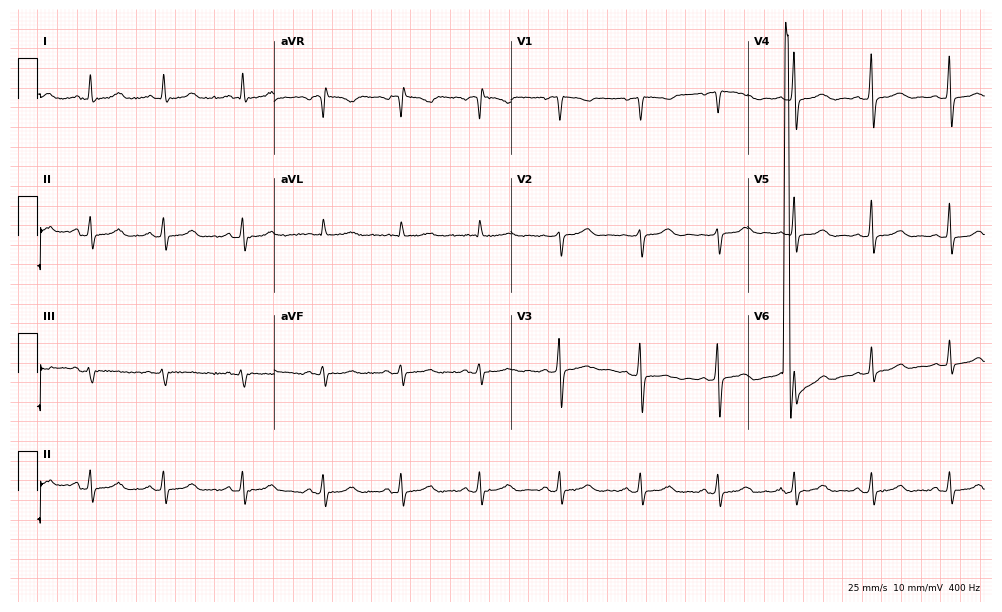
Resting 12-lead electrocardiogram (9.7-second recording at 400 Hz). Patient: a 49-year-old woman. None of these six findings is recorded: first-degree AV block, right bundle branch block, left bundle branch block, sinus bradycardia, atrial fibrillation, sinus tachycardia. Other findings, if any, are not listed.